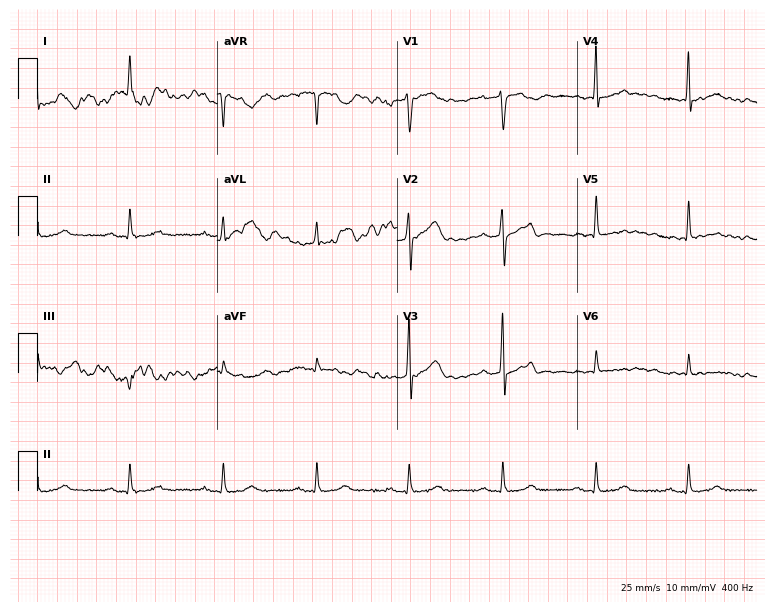
12-lead ECG (7.3-second recording at 400 Hz) from a 68-year-old female patient. Screened for six findings — first-degree AV block, right bundle branch block, left bundle branch block, sinus bradycardia, atrial fibrillation, sinus tachycardia — none is recorded.